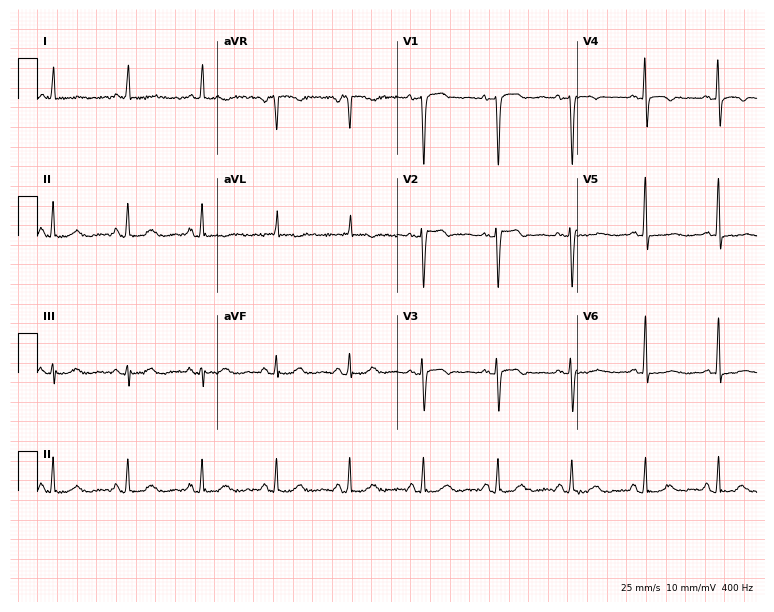
12-lead ECG (7.3-second recording at 400 Hz) from a woman, 84 years old. Screened for six findings — first-degree AV block, right bundle branch block (RBBB), left bundle branch block (LBBB), sinus bradycardia, atrial fibrillation (AF), sinus tachycardia — none is recorded.